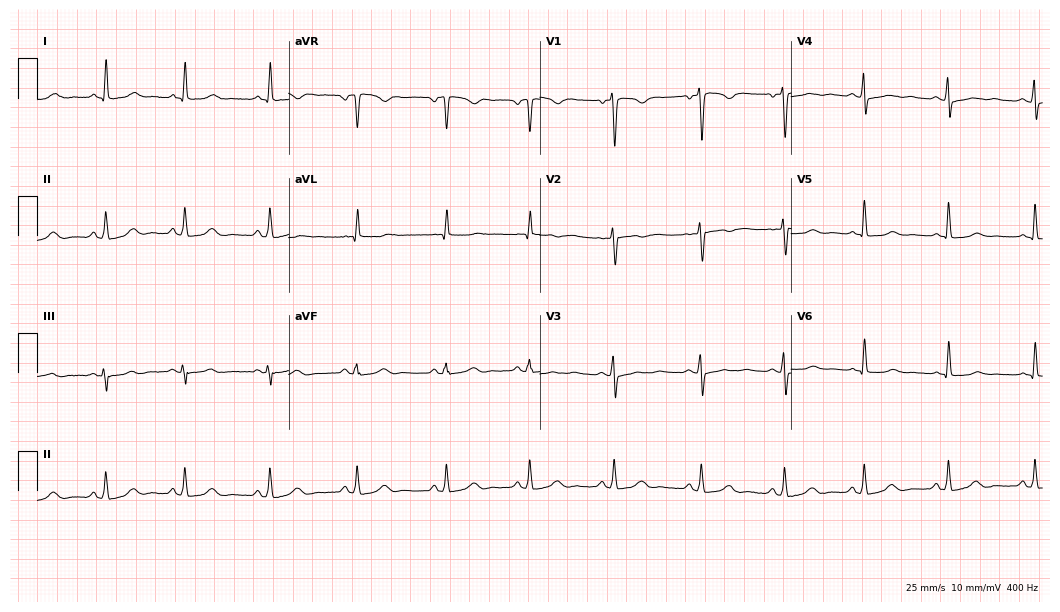
Electrocardiogram (10.2-second recording at 400 Hz), a 45-year-old woman. Of the six screened findings (first-degree AV block, right bundle branch block (RBBB), left bundle branch block (LBBB), sinus bradycardia, atrial fibrillation (AF), sinus tachycardia), none is recorded. Only these six findings were labelled.